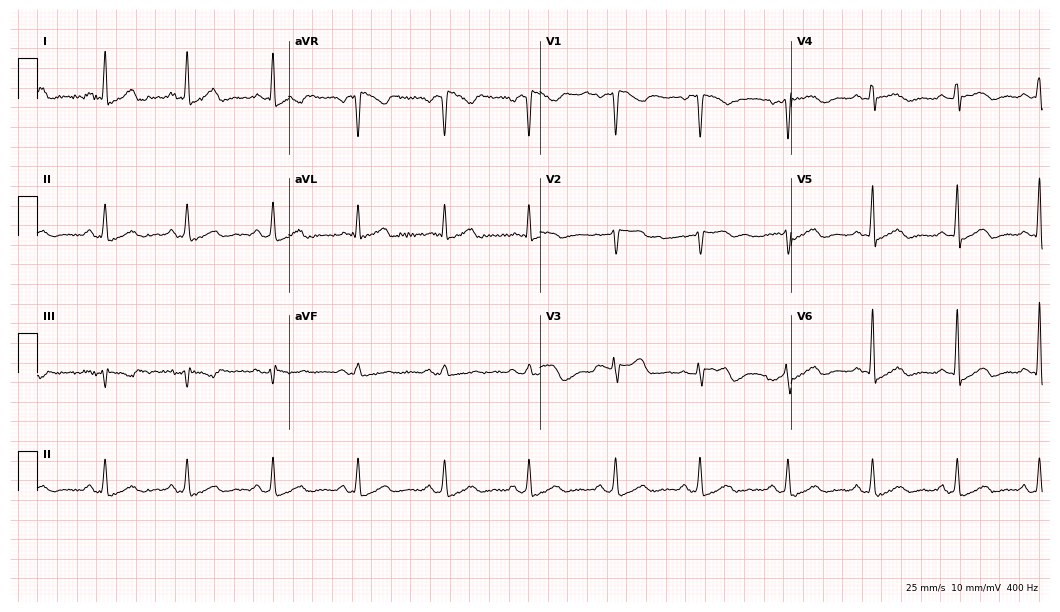
Standard 12-lead ECG recorded from a female, 45 years old. Read as a normal ECG.